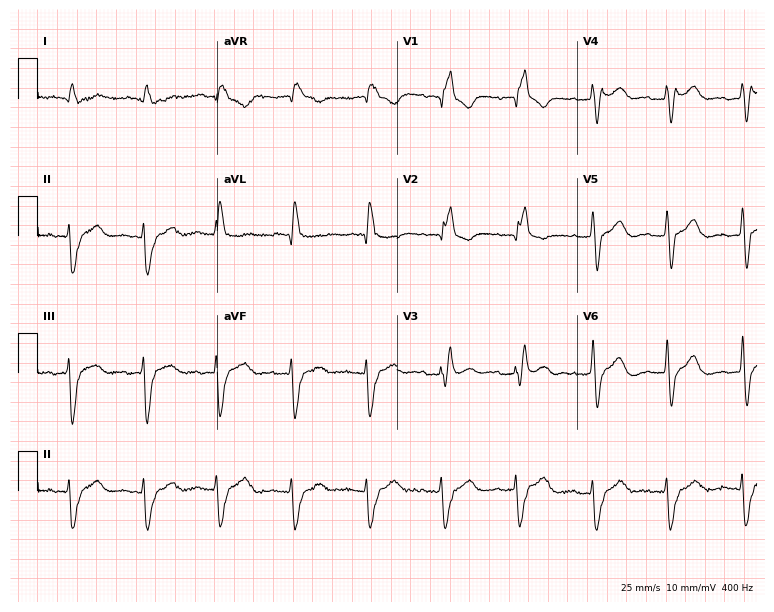
Standard 12-lead ECG recorded from a woman, 76 years old. The tracing shows right bundle branch block.